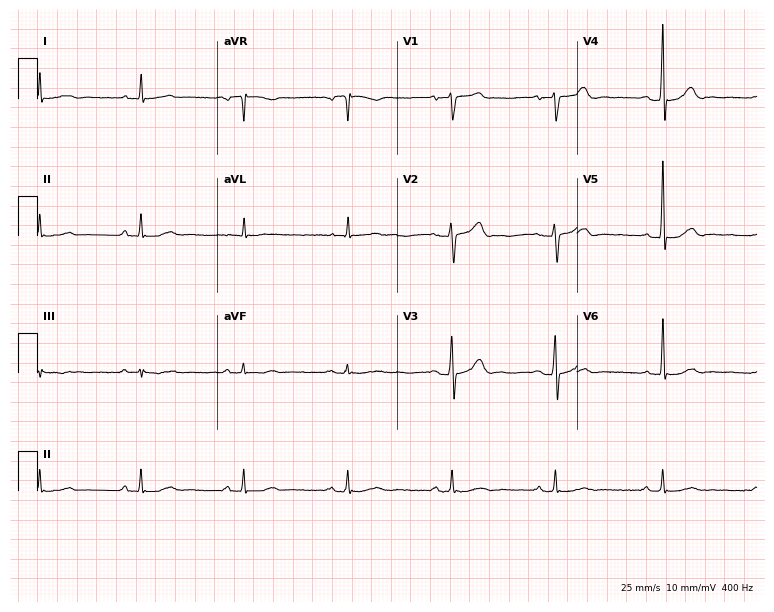
12-lead ECG from a man, 68 years old. Recorded interpretation: within normal limits.